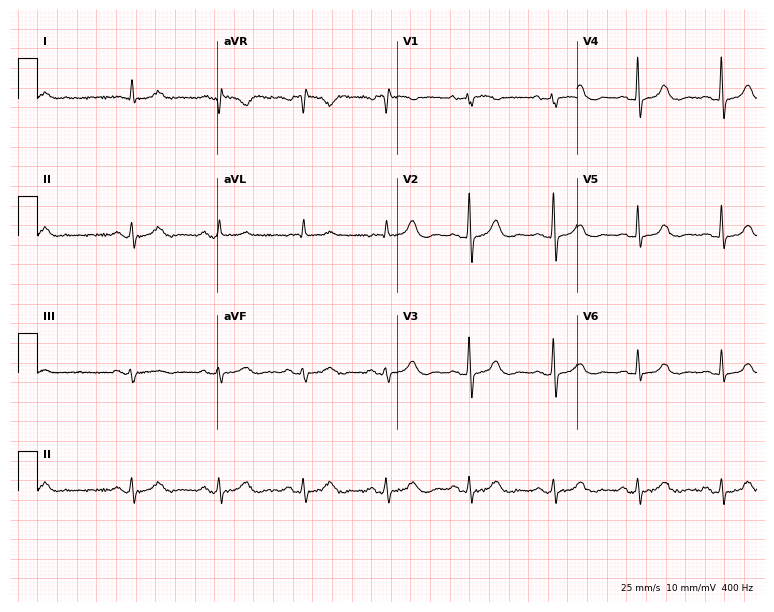
12-lead ECG from a 79-year-old female. Labelled as a normal ECG.